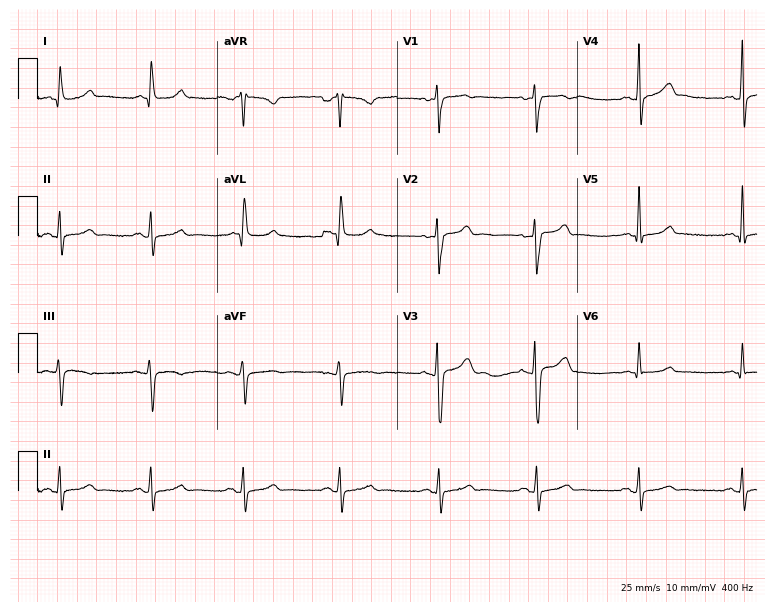
12-lead ECG from a 62-year-old male (7.3-second recording at 400 Hz). Recorded interpretation: within normal limits.